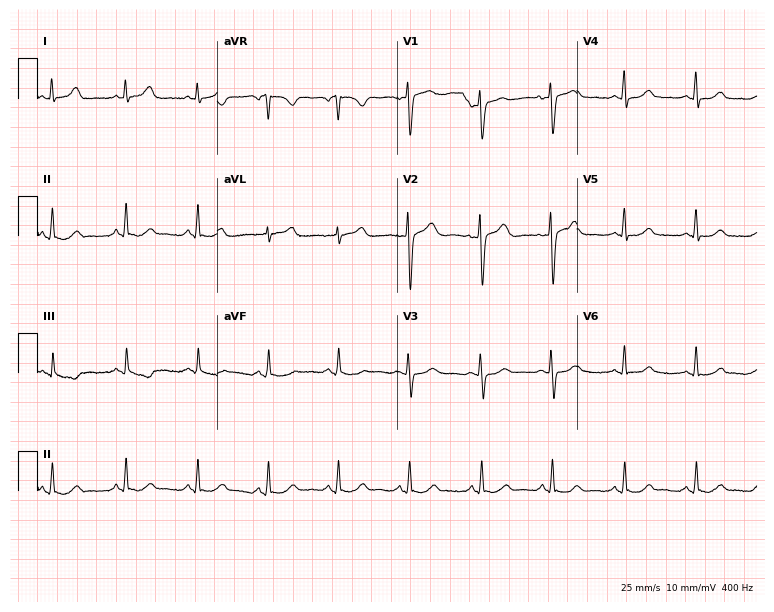
Standard 12-lead ECG recorded from a 47-year-old female (7.3-second recording at 400 Hz). None of these six findings is recorded: first-degree AV block, right bundle branch block, left bundle branch block, sinus bradycardia, atrial fibrillation, sinus tachycardia. Other findings, if any, are not listed.